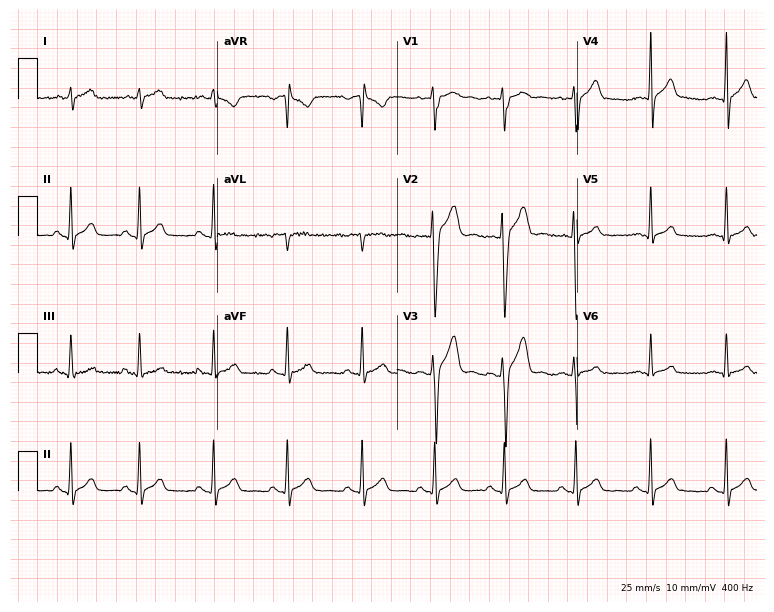
12-lead ECG from a 20-year-old male. No first-degree AV block, right bundle branch block (RBBB), left bundle branch block (LBBB), sinus bradycardia, atrial fibrillation (AF) or sinus tachycardia recorded for this tracing. Only these six findings were labelled.